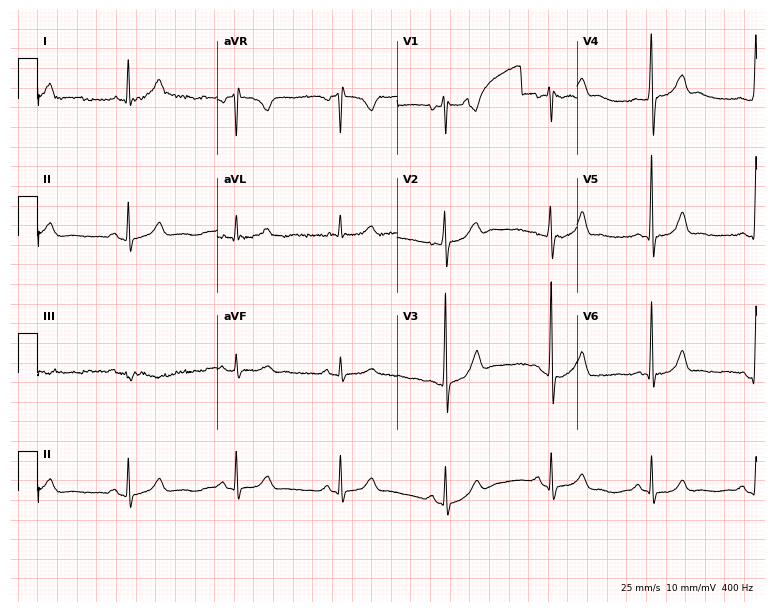
ECG — a male patient, 47 years old. Screened for six findings — first-degree AV block, right bundle branch block, left bundle branch block, sinus bradycardia, atrial fibrillation, sinus tachycardia — none is recorded.